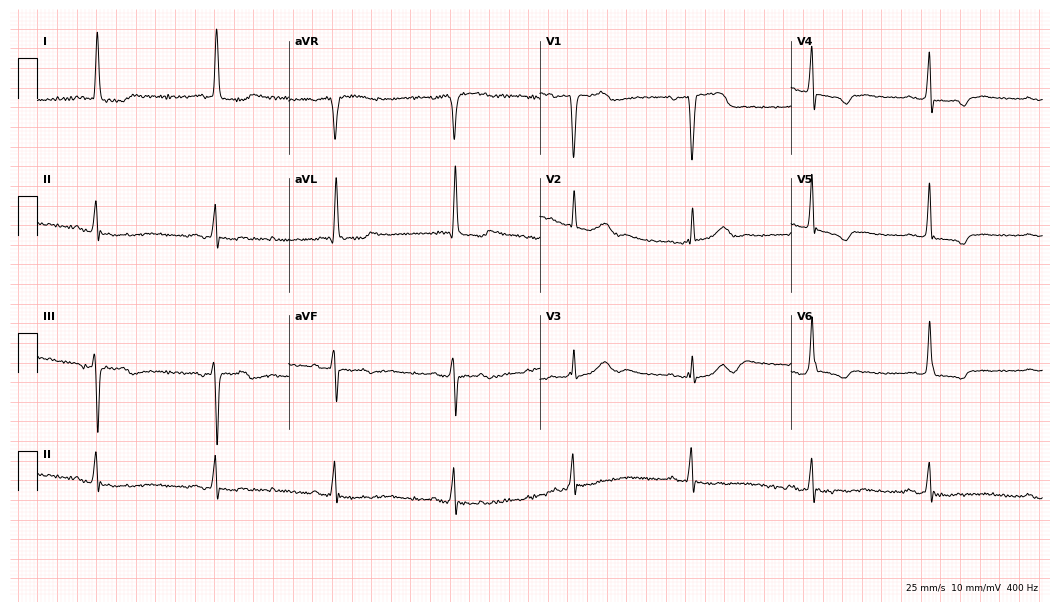
Resting 12-lead electrocardiogram (10.2-second recording at 400 Hz). Patient: a female, 71 years old. None of these six findings is recorded: first-degree AV block, right bundle branch block, left bundle branch block, sinus bradycardia, atrial fibrillation, sinus tachycardia.